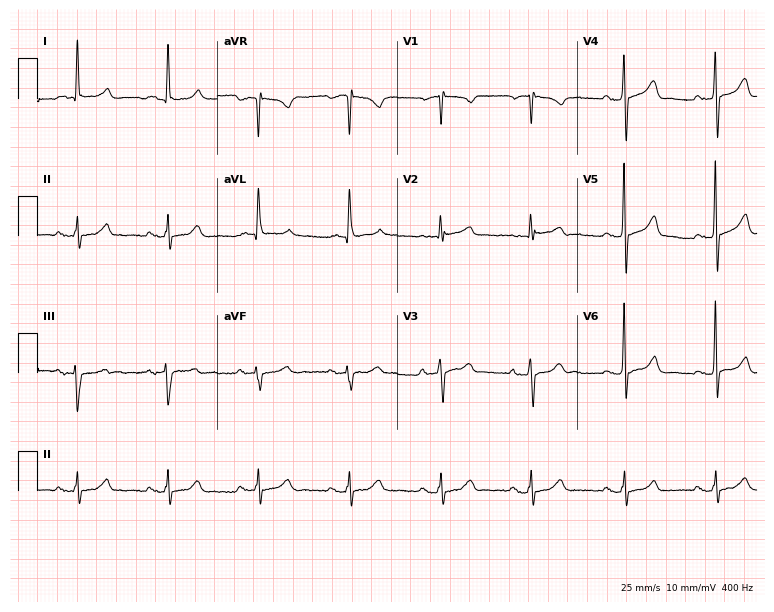
12-lead ECG from an 85-year-old woman (7.3-second recording at 400 Hz). No first-degree AV block, right bundle branch block (RBBB), left bundle branch block (LBBB), sinus bradycardia, atrial fibrillation (AF) or sinus tachycardia recorded for this tracing. Only these six findings were labelled.